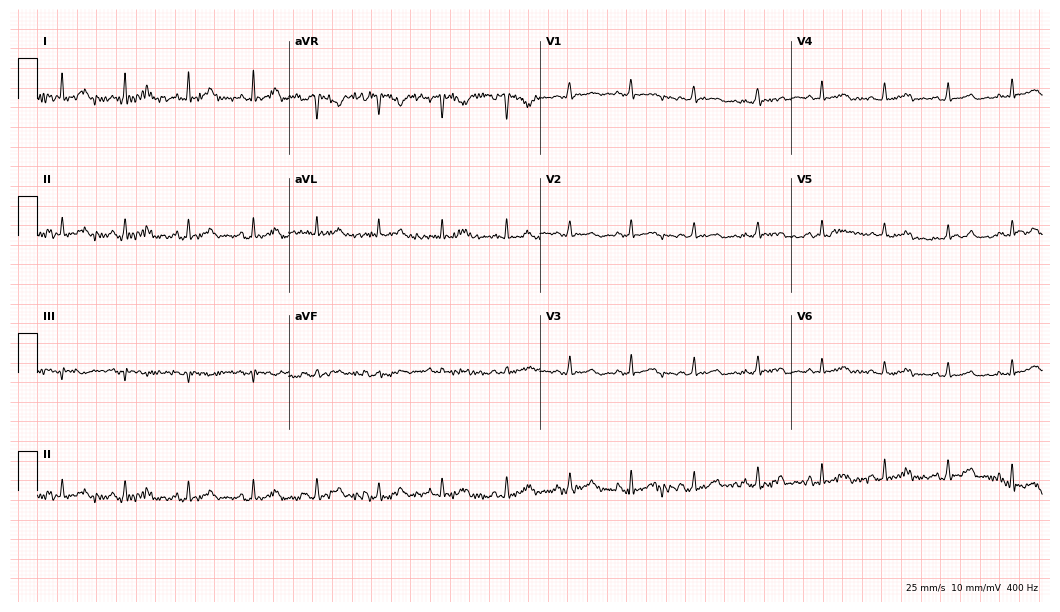
Resting 12-lead electrocardiogram. Patient: a 32-year-old female. Read as a normal ECG.